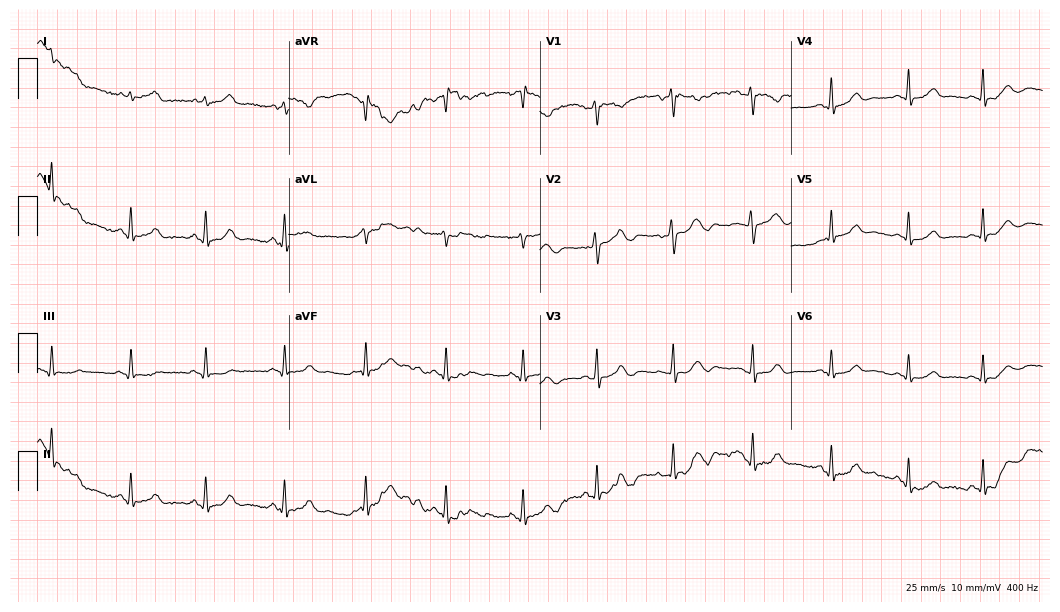
Electrocardiogram (10.2-second recording at 400 Hz), a female patient, 38 years old. Of the six screened findings (first-degree AV block, right bundle branch block (RBBB), left bundle branch block (LBBB), sinus bradycardia, atrial fibrillation (AF), sinus tachycardia), none is recorded. Only these six findings were labelled.